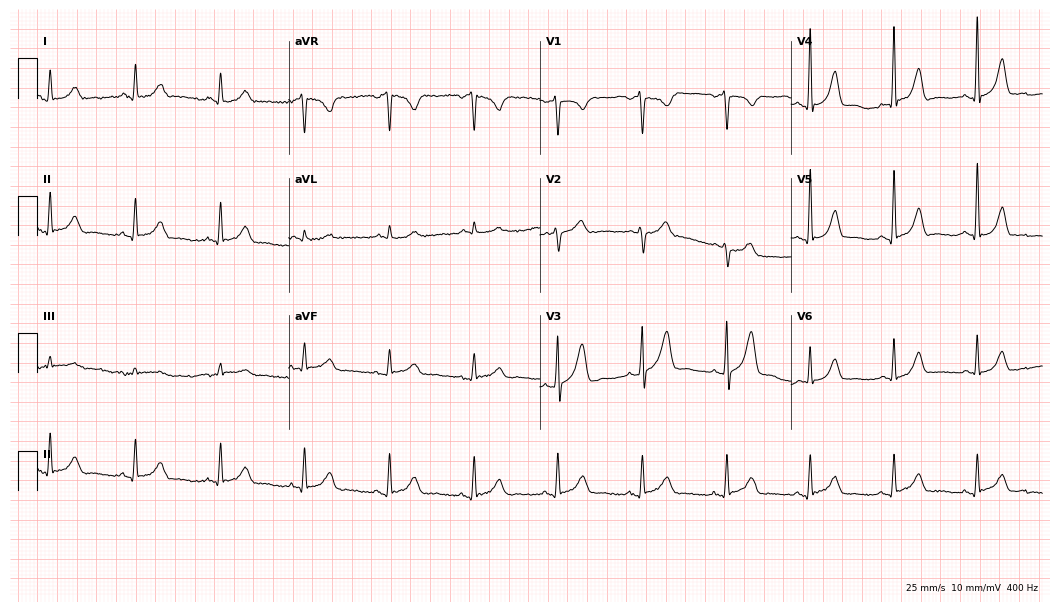
12-lead ECG from a male patient, 71 years old. Screened for six findings — first-degree AV block, right bundle branch block (RBBB), left bundle branch block (LBBB), sinus bradycardia, atrial fibrillation (AF), sinus tachycardia — none is recorded. Findings outside these six are not listed.